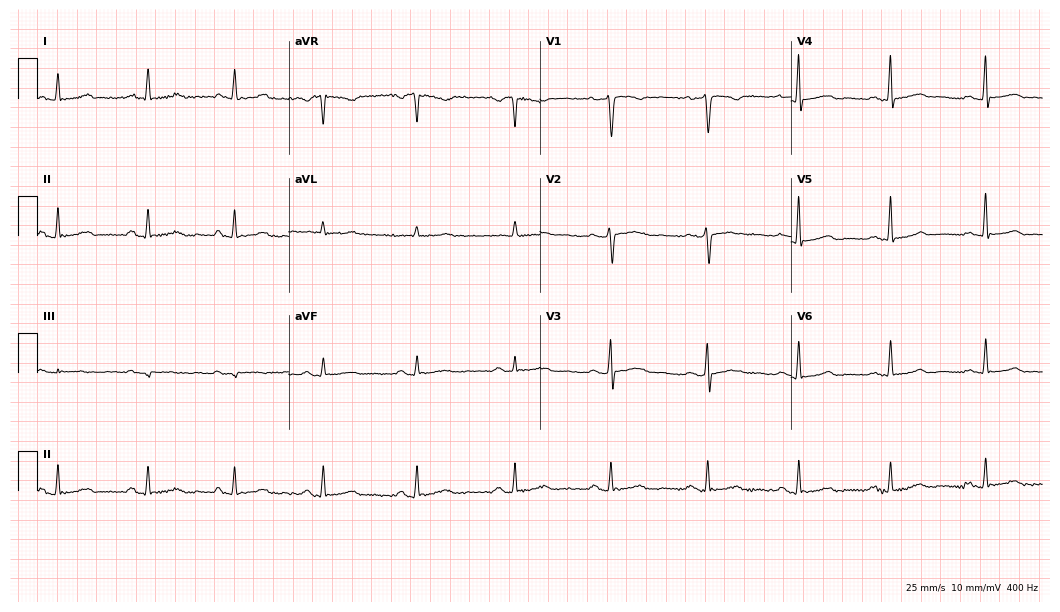
Resting 12-lead electrocardiogram (10.2-second recording at 400 Hz). Patient: a female, 58 years old. Read as a normal ECG.